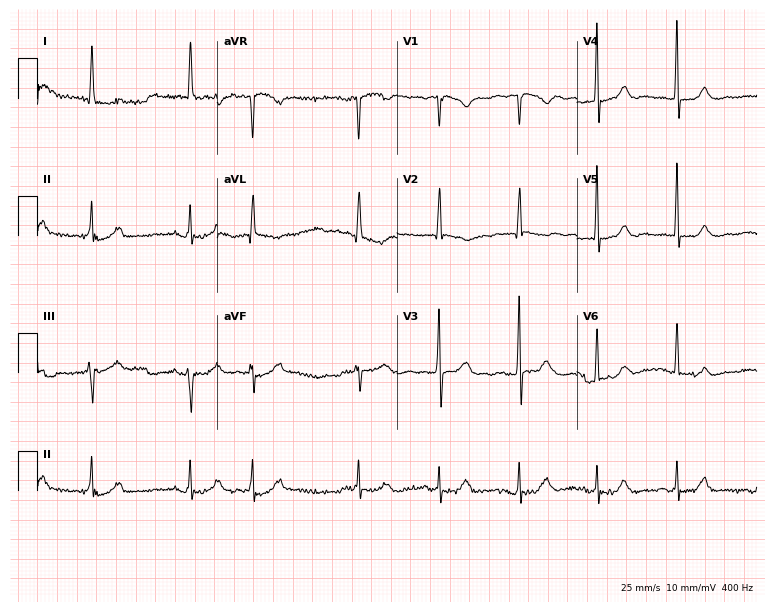
Electrocardiogram, an 82-year-old man. Overall reading on record: normal ECG.